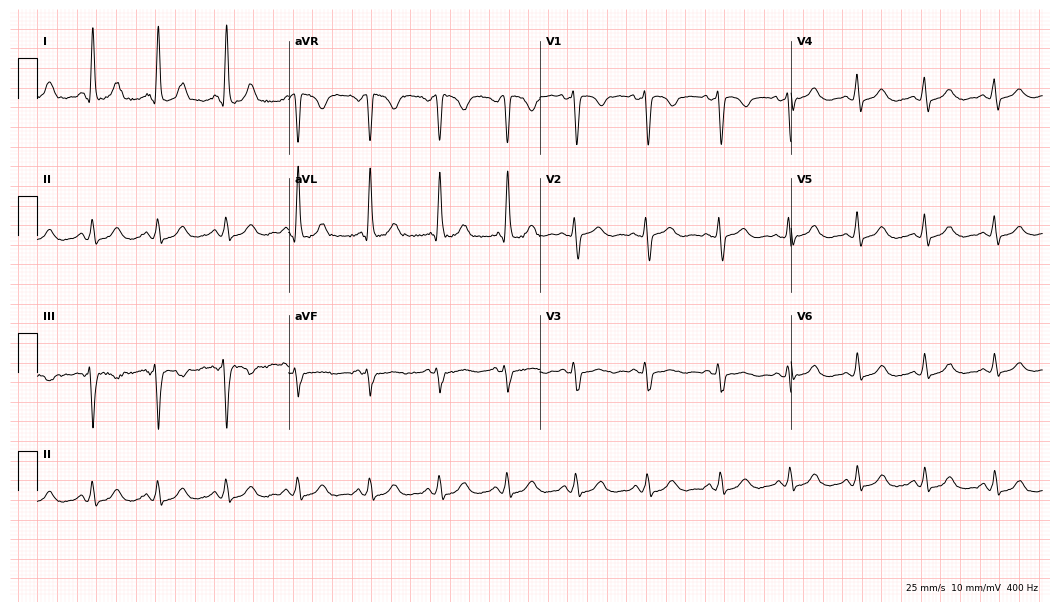
ECG — a 46-year-old female patient. Screened for six findings — first-degree AV block, right bundle branch block, left bundle branch block, sinus bradycardia, atrial fibrillation, sinus tachycardia — none is recorded. Other findings, if any, are not listed.